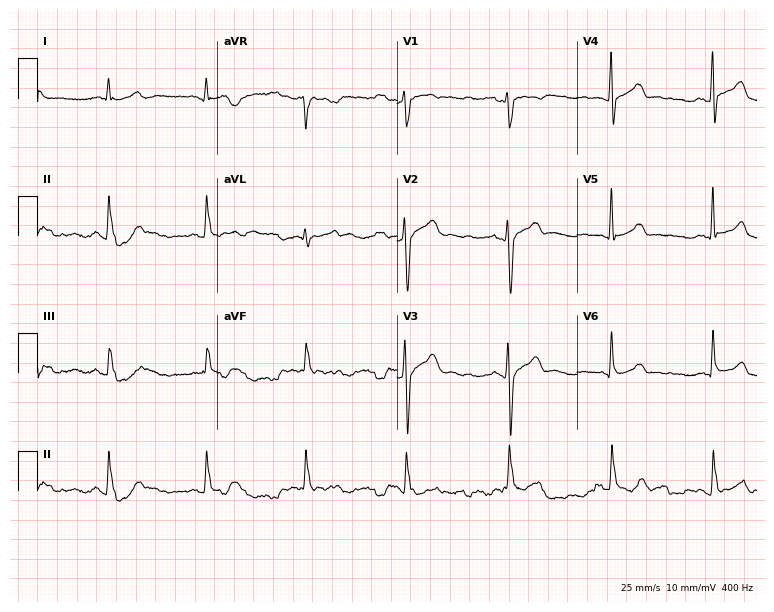
12-lead ECG from a 45-year-old male. No first-degree AV block, right bundle branch block, left bundle branch block, sinus bradycardia, atrial fibrillation or sinus tachycardia recorded for this tracing. Other findings, if any, are not listed.